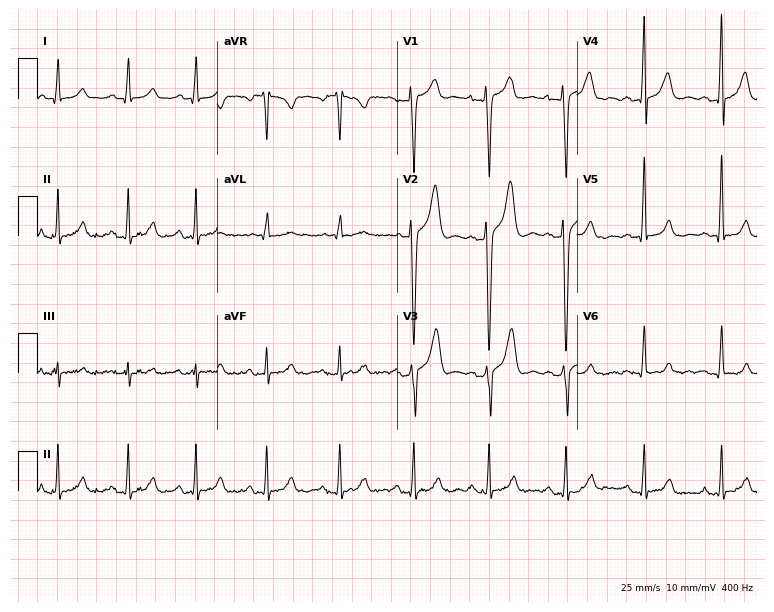
Electrocardiogram, a 32-year-old male. Of the six screened findings (first-degree AV block, right bundle branch block, left bundle branch block, sinus bradycardia, atrial fibrillation, sinus tachycardia), none is recorded. Findings outside these six are not listed.